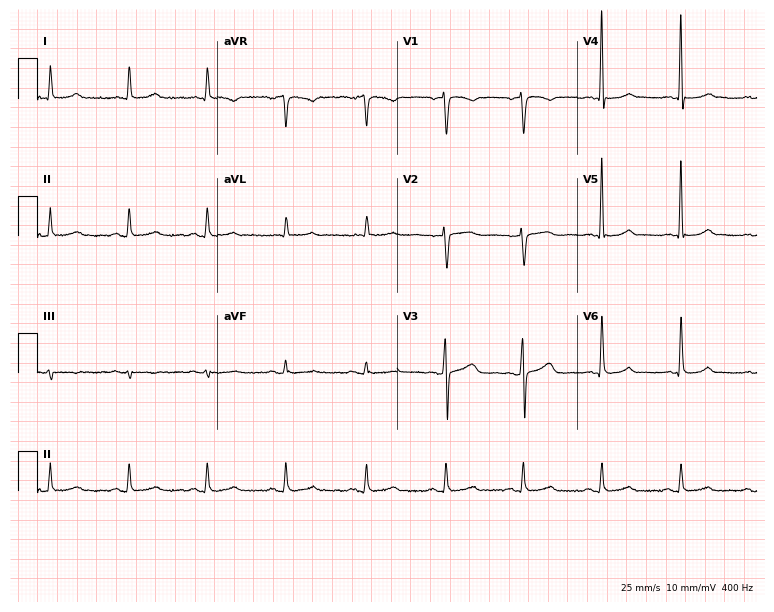
Electrocardiogram, a female patient, 58 years old. Overall reading on record: normal ECG.